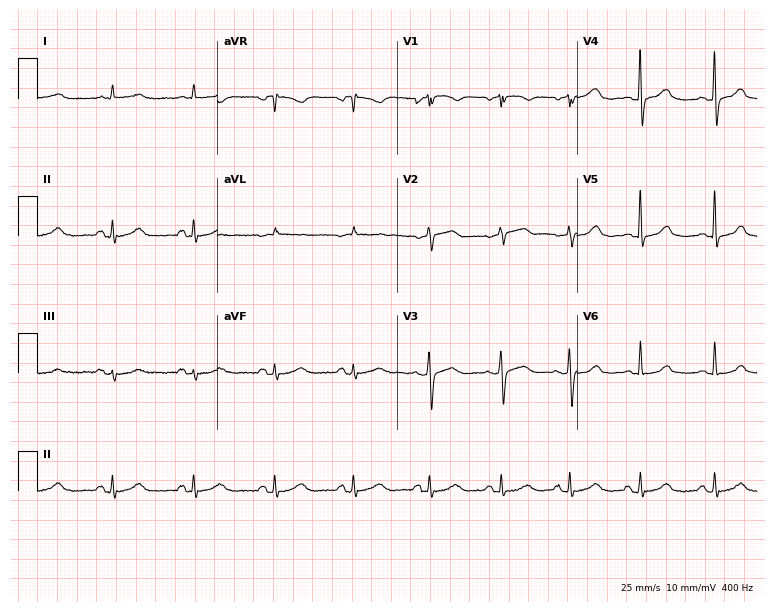
12-lead ECG from a 65-year-old female patient. Recorded interpretation: within normal limits.